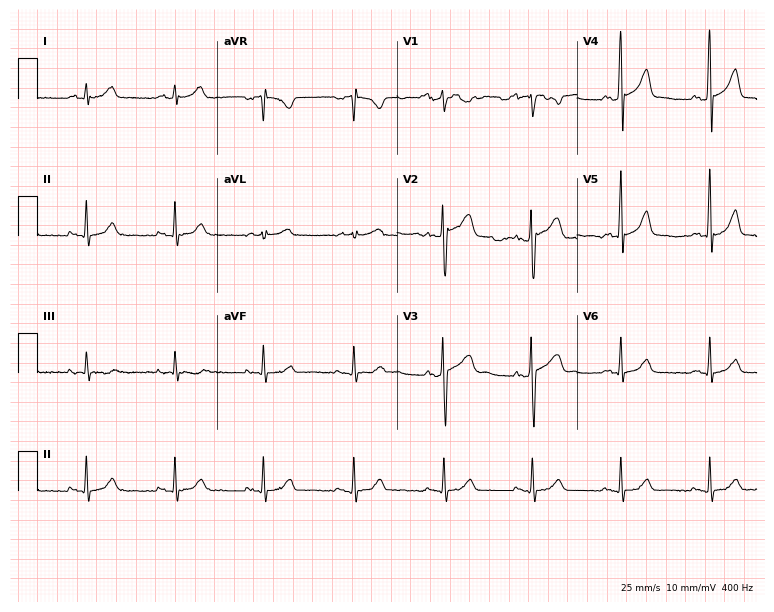
Standard 12-lead ECG recorded from a male, 58 years old (7.3-second recording at 400 Hz). None of these six findings is recorded: first-degree AV block, right bundle branch block (RBBB), left bundle branch block (LBBB), sinus bradycardia, atrial fibrillation (AF), sinus tachycardia. Findings outside these six are not listed.